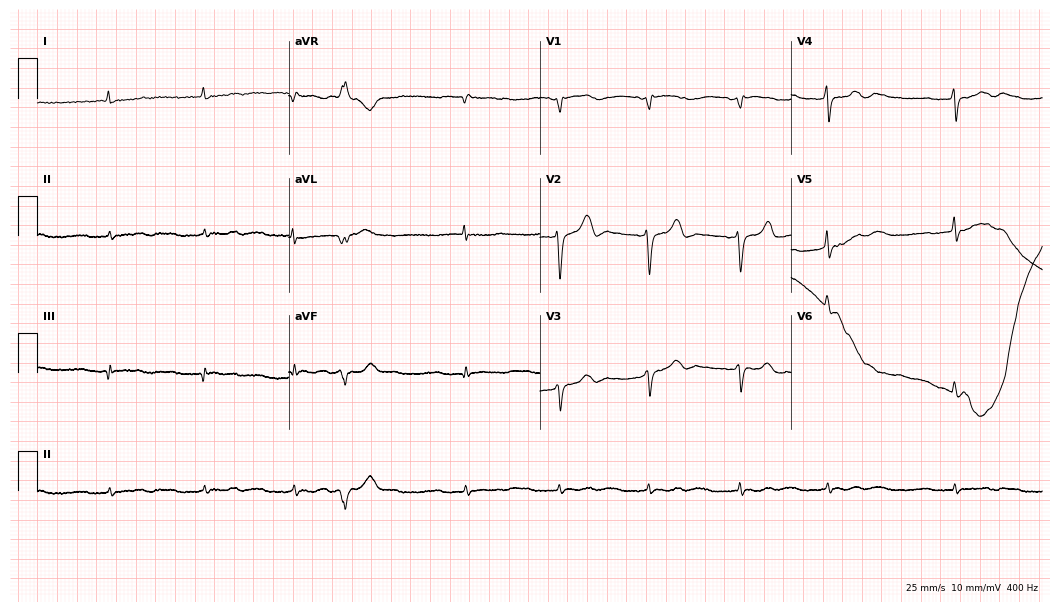
ECG (10.2-second recording at 400 Hz) — a female patient, 64 years old. Screened for six findings — first-degree AV block, right bundle branch block, left bundle branch block, sinus bradycardia, atrial fibrillation, sinus tachycardia — none is recorded. Only these six findings were labelled.